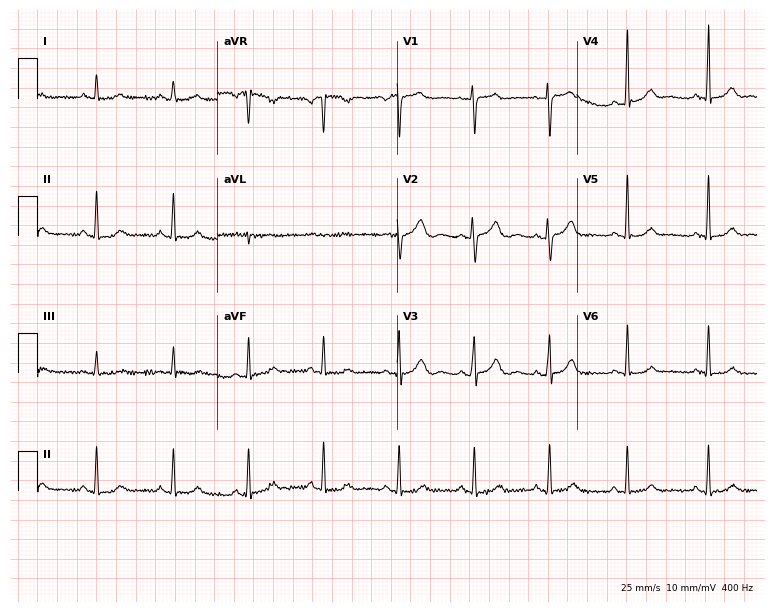
Resting 12-lead electrocardiogram. Patient: a female, 43 years old. Read as a normal ECG.